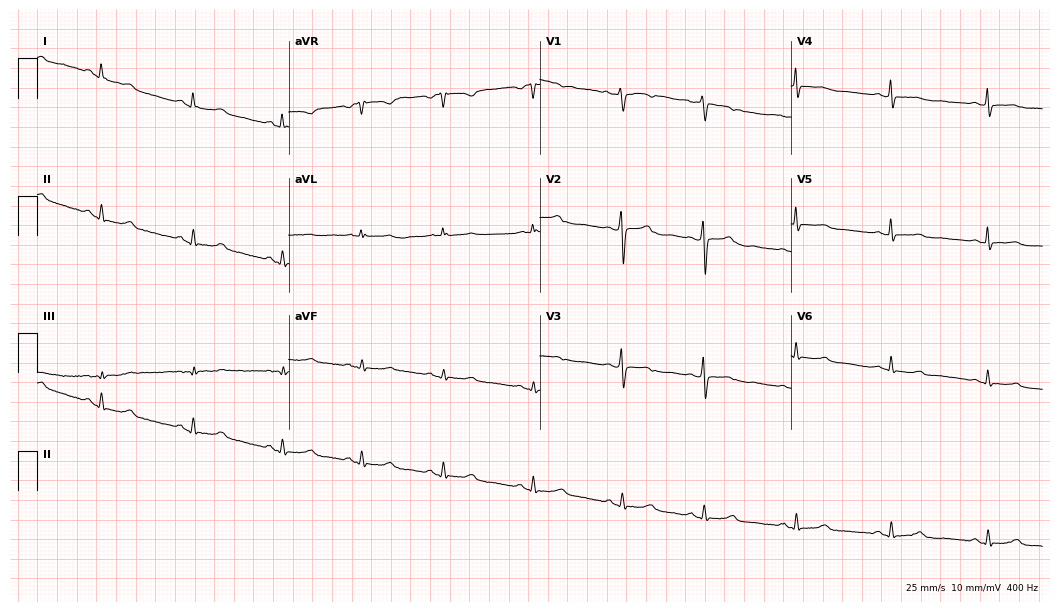
12-lead ECG (10.2-second recording at 400 Hz) from a 37-year-old female. Screened for six findings — first-degree AV block, right bundle branch block, left bundle branch block, sinus bradycardia, atrial fibrillation, sinus tachycardia — none is recorded. Findings outside these six are not listed.